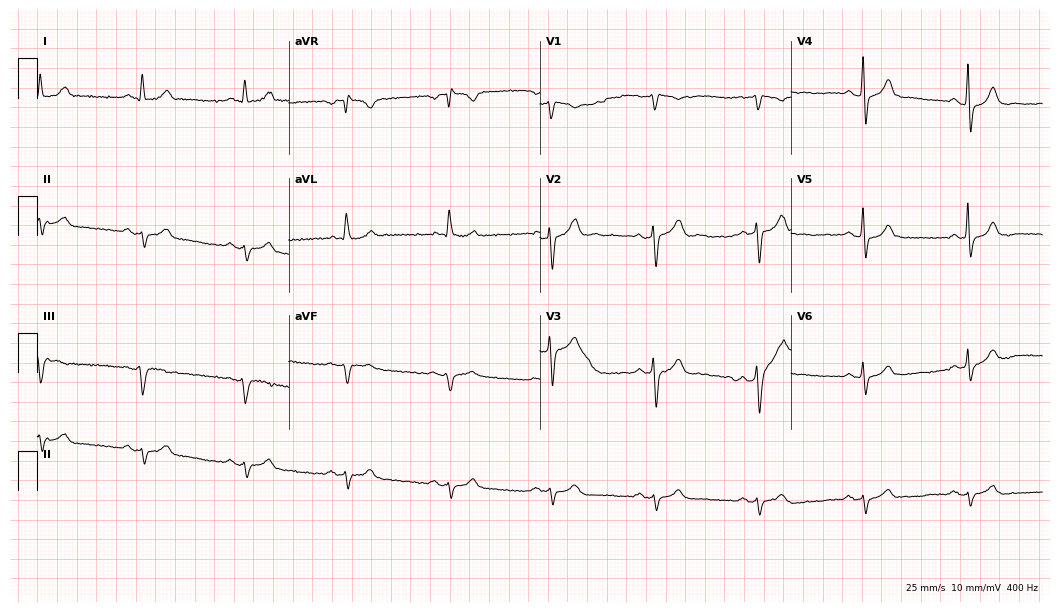
Standard 12-lead ECG recorded from a 52-year-old male (10.2-second recording at 400 Hz). None of these six findings is recorded: first-degree AV block, right bundle branch block (RBBB), left bundle branch block (LBBB), sinus bradycardia, atrial fibrillation (AF), sinus tachycardia.